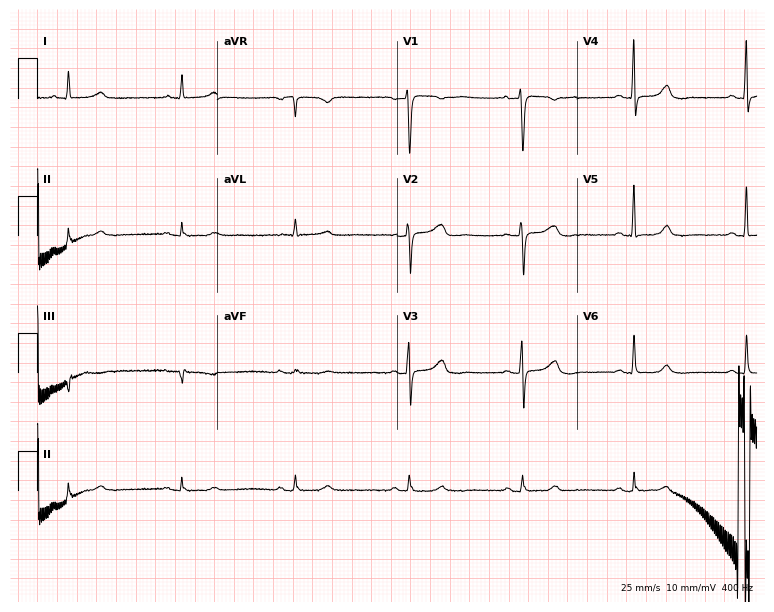
12-lead ECG from a female, 61 years old. Recorded interpretation: within normal limits.